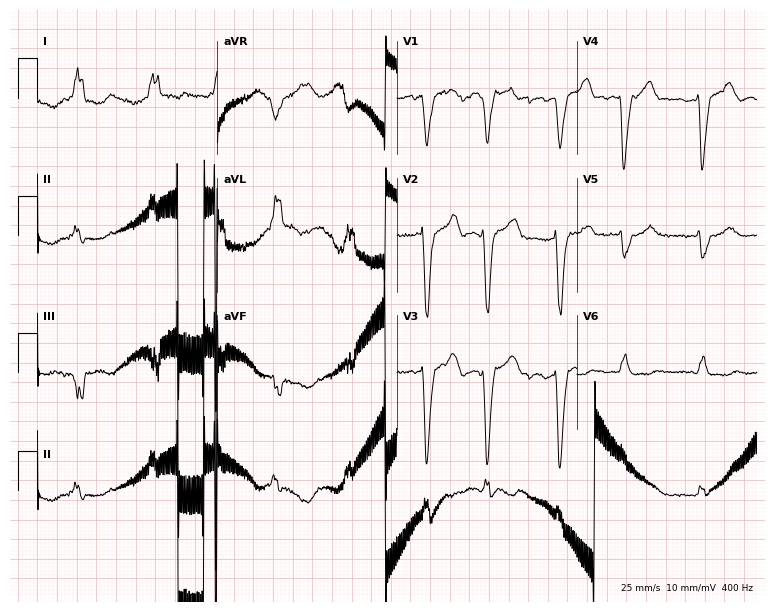
Electrocardiogram (7.3-second recording at 400 Hz), a female patient, 83 years old. Of the six screened findings (first-degree AV block, right bundle branch block (RBBB), left bundle branch block (LBBB), sinus bradycardia, atrial fibrillation (AF), sinus tachycardia), none is recorded. Only these six findings were labelled.